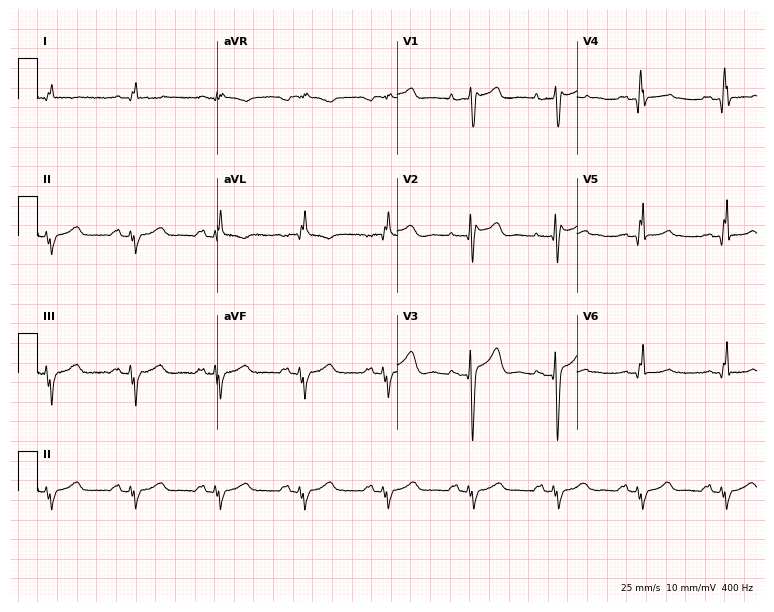
Standard 12-lead ECG recorded from a 56-year-old male (7.3-second recording at 400 Hz). None of these six findings is recorded: first-degree AV block, right bundle branch block, left bundle branch block, sinus bradycardia, atrial fibrillation, sinus tachycardia.